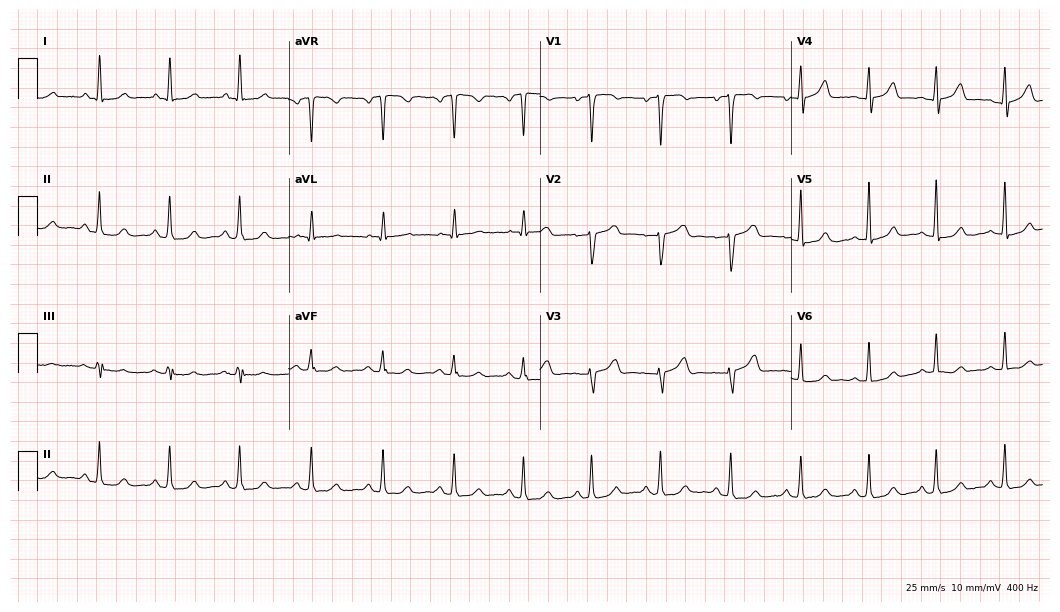
Resting 12-lead electrocardiogram (10.2-second recording at 400 Hz). Patient: a female, 56 years old. Read as a normal ECG.